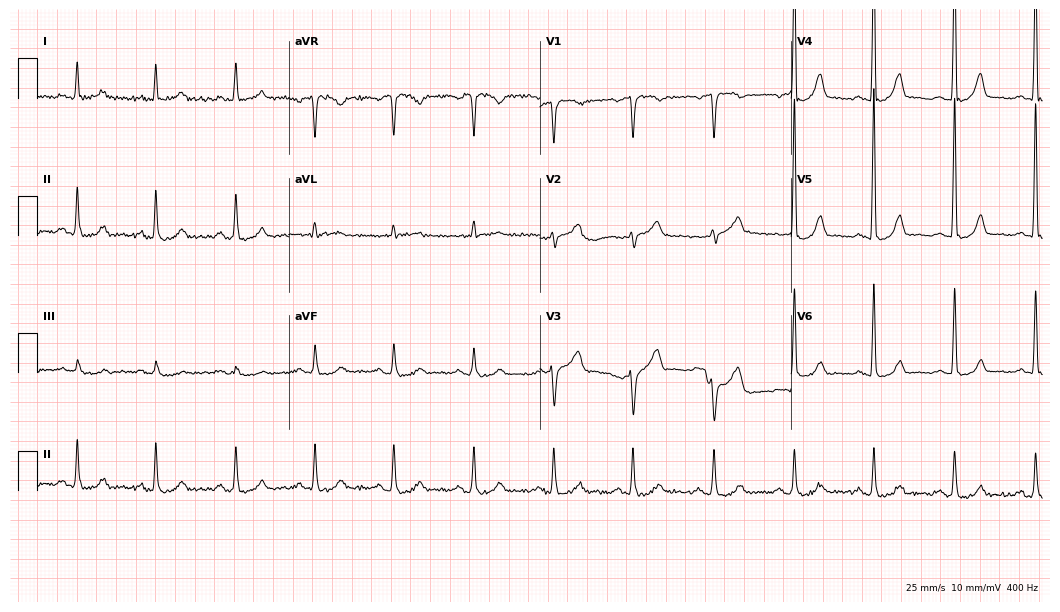
Electrocardiogram (10.2-second recording at 400 Hz), an 80-year-old male patient. Of the six screened findings (first-degree AV block, right bundle branch block, left bundle branch block, sinus bradycardia, atrial fibrillation, sinus tachycardia), none is recorded.